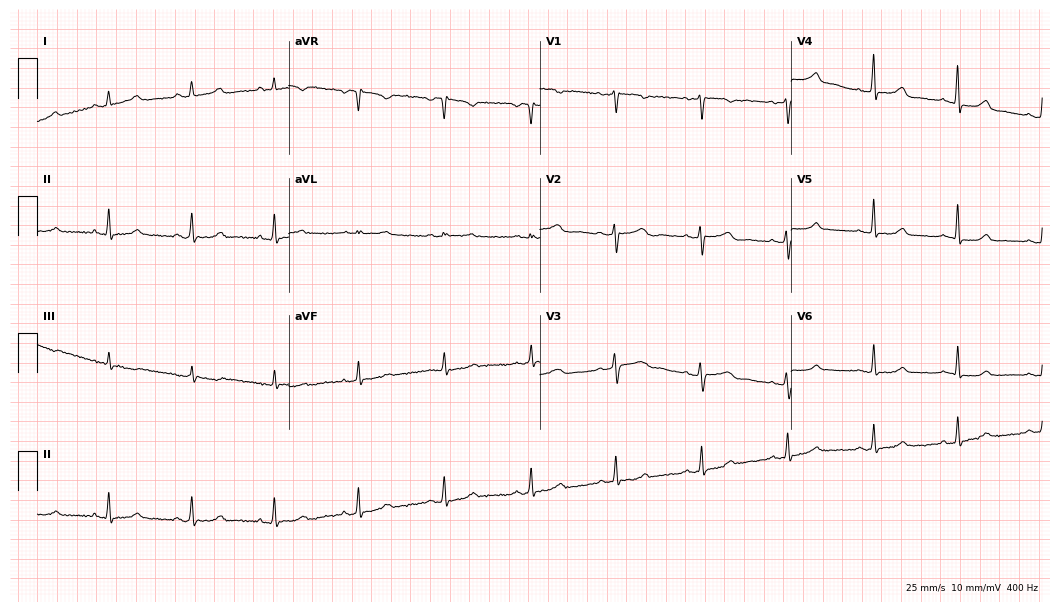
ECG (10.2-second recording at 400 Hz) — a 47-year-old female patient. Labelled as a normal ECG.